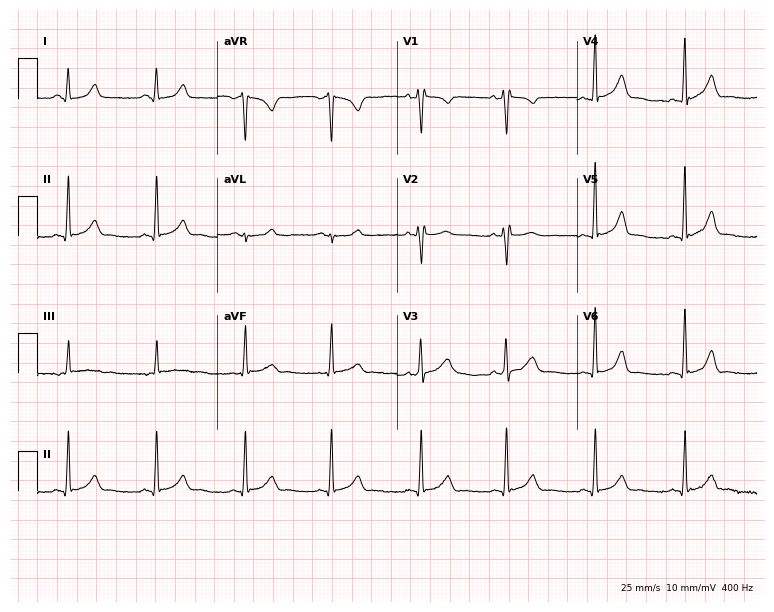
Resting 12-lead electrocardiogram (7.3-second recording at 400 Hz). Patient: a female, 39 years old. Read as a normal ECG.